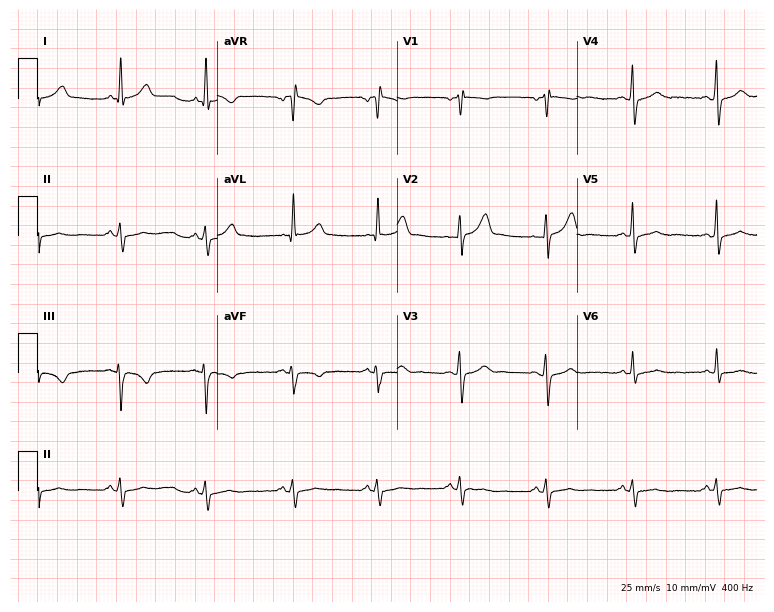
Resting 12-lead electrocardiogram. Patient: a man, 54 years old. None of these six findings is recorded: first-degree AV block, right bundle branch block, left bundle branch block, sinus bradycardia, atrial fibrillation, sinus tachycardia.